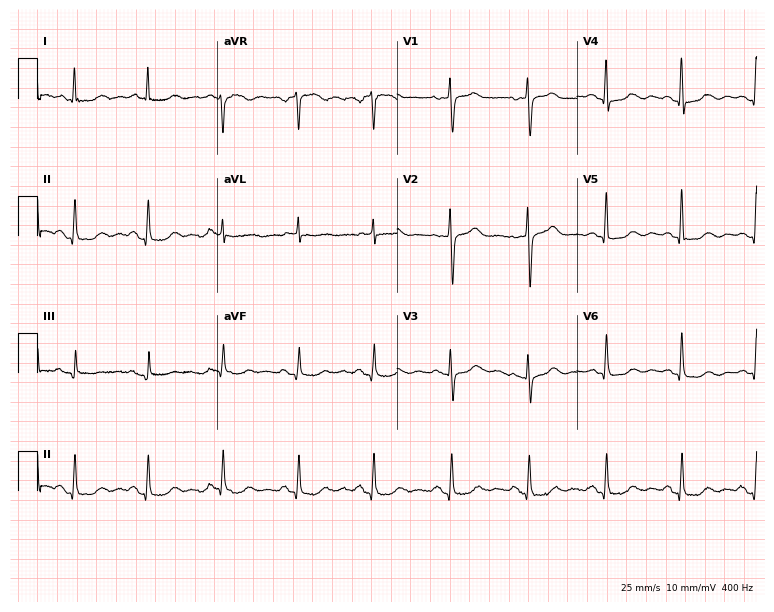
Resting 12-lead electrocardiogram (7.3-second recording at 400 Hz). Patient: a female, 85 years old. None of these six findings is recorded: first-degree AV block, right bundle branch block (RBBB), left bundle branch block (LBBB), sinus bradycardia, atrial fibrillation (AF), sinus tachycardia.